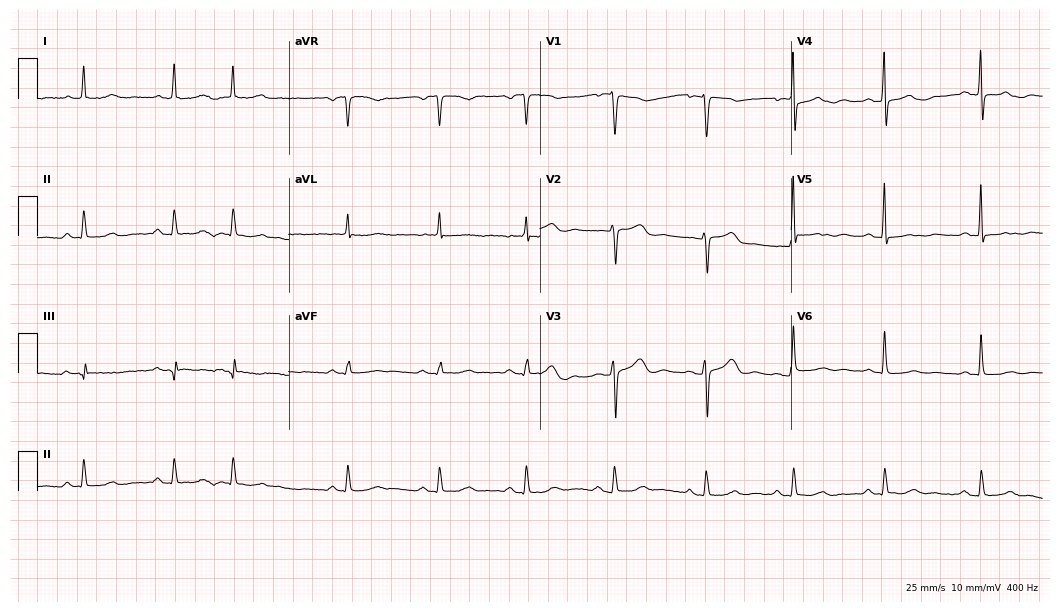
Electrocardiogram, a 70-year-old female patient. Of the six screened findings (first-degree AV block, right bundle branch block, left bundle branch block, sinus bradycardia, atrial fibrillation, sinus tachycardia), none is recorded. Findings outside these six are not listed.